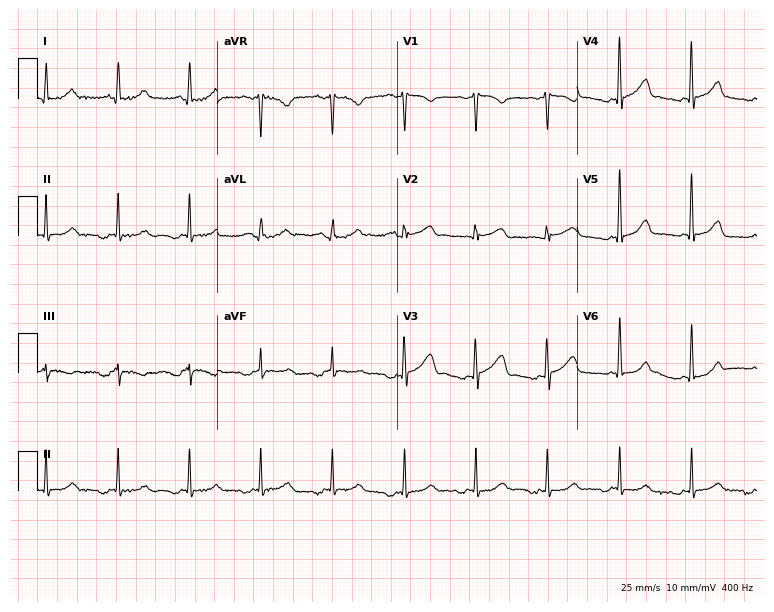
ECG (7.3-second recording at 400 Hz) — a 54-year-old male patient. Screened for six findings — first-degree AV block, right bundle branch block (RBBB), left bundle branch block (LBBB), sinus bradycardia, atrial fibrillation (AF), sinus tachycardia — none is recorded. Other findings, if any, are not listed.